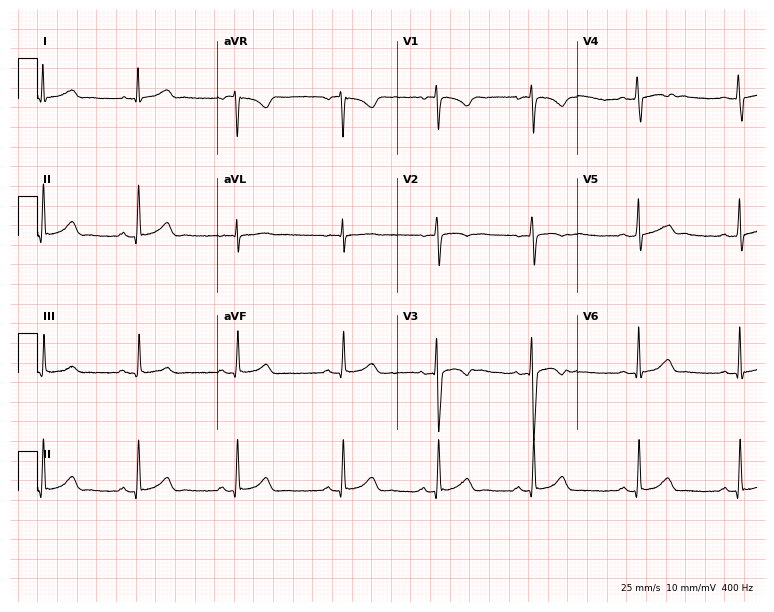
12-lead ECG from a female patient, 17 years old (7.3-second recording at 400 Hz). Recorded interpretation: within normal limits.